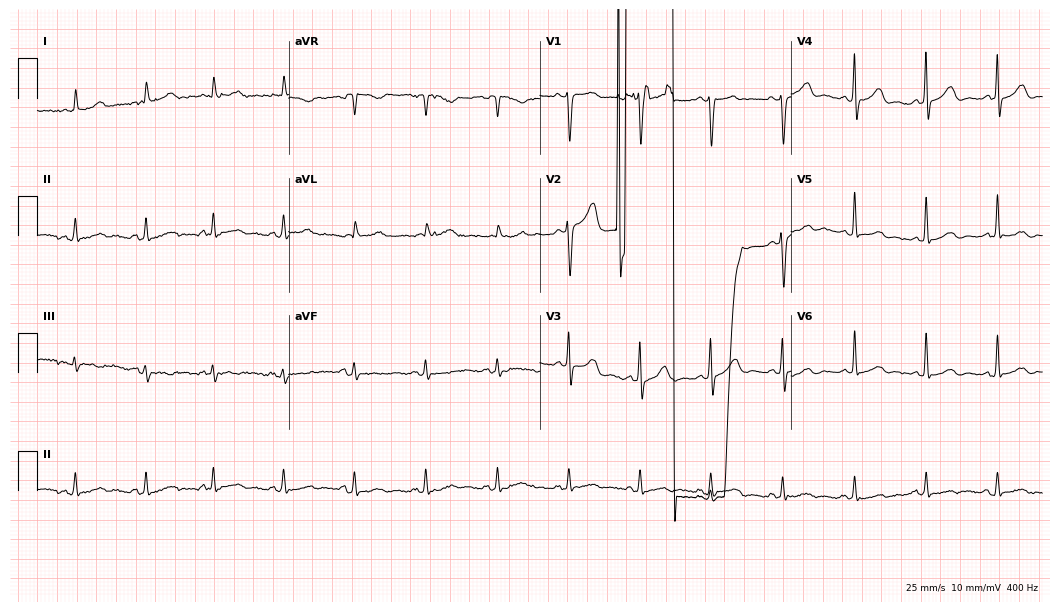
Standard 12-lead ECG recorded from a female patient, 78 years old (10.2-second recording at 400 Hz). None of these six findings is recorded: first-degree AV block, right bundle branch block, left bundle branch block, sinus bradycardia, atrial fibrillation, sinus tachycardia.